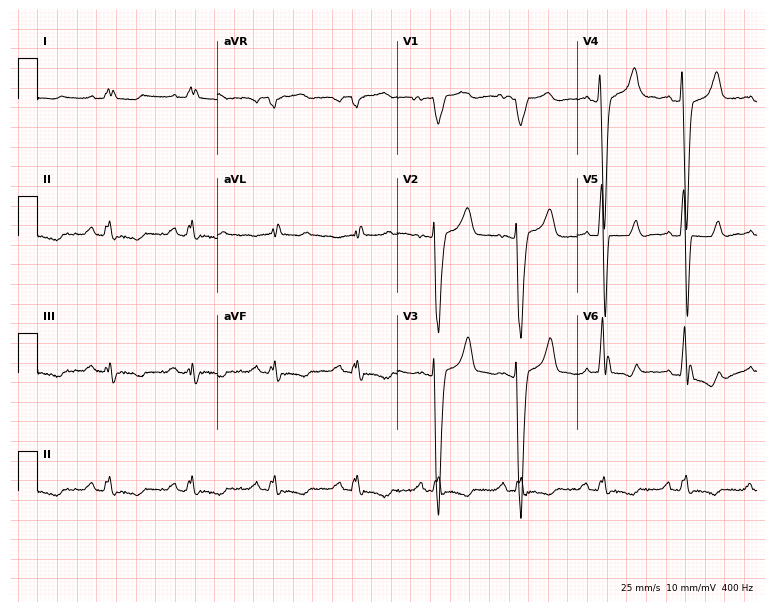
Electrocardiogram, a 71-year-old man. Interpretation includes left bundle branch block.